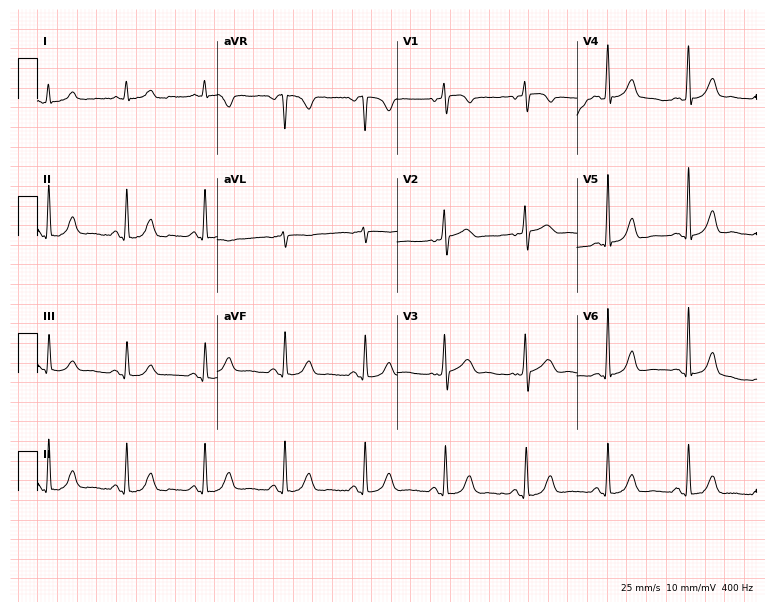
12-lead ECG from a 52-year-old female. Screened for six findings — first-degree AV block, right bundle branch block, left bundle branch block, sinus bradycardia, atrial fibrillation, sinus tachycardia — none is recorded. Findings outside these six are not listed.